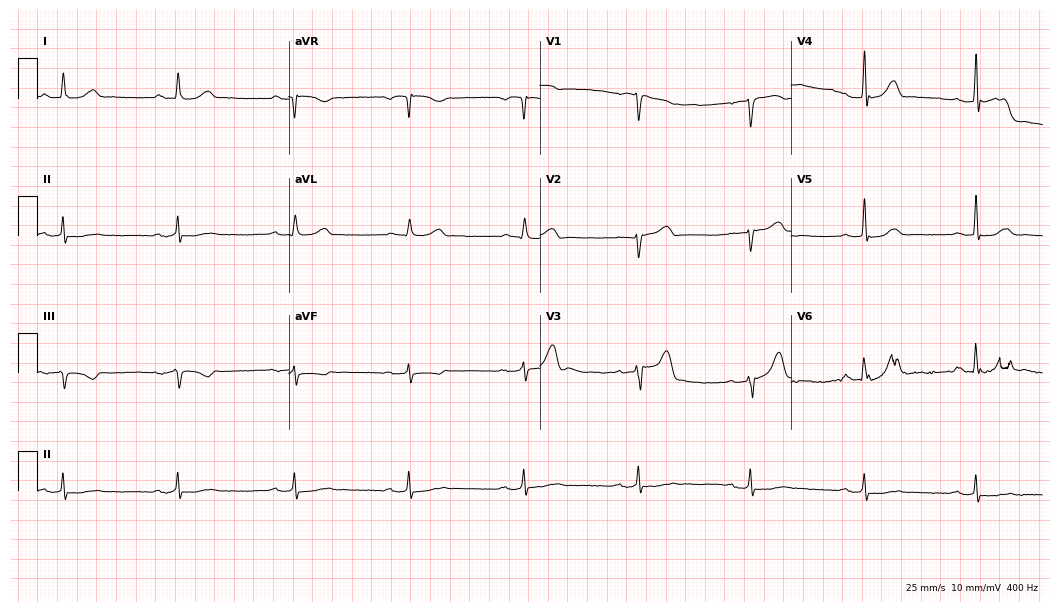
Electrocardiogram, a 54-year-old male patient. Overall reading on record: normal ECG.